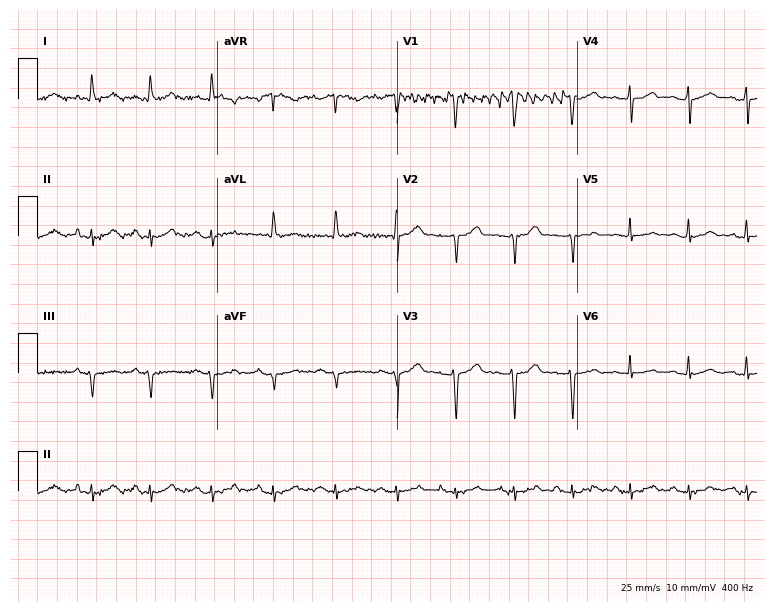
Electrocardiogram (7.3-second recording at 400 Hz), a 51-year-old man. Of the six screened findings (first-degree AV block, right bundle branch block, left bundle branch block, sinus bradycardia, atrial fibrillation, sinus tachycardia), none is recorded. Only these six findings were labelled.